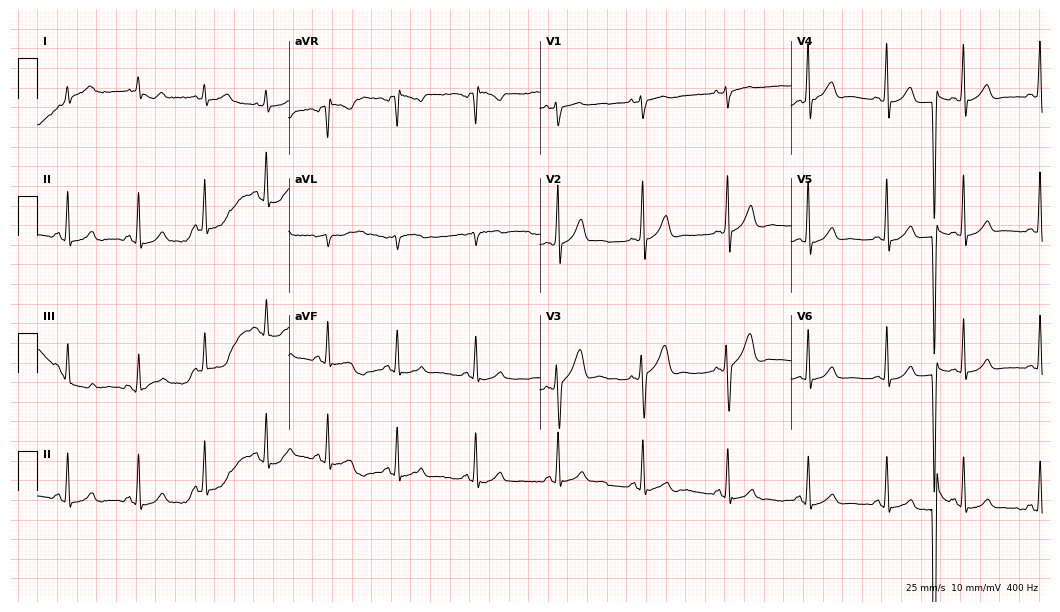
12-lead ECG from a male, 46 years old. Recorded interpretation: within normal limits.